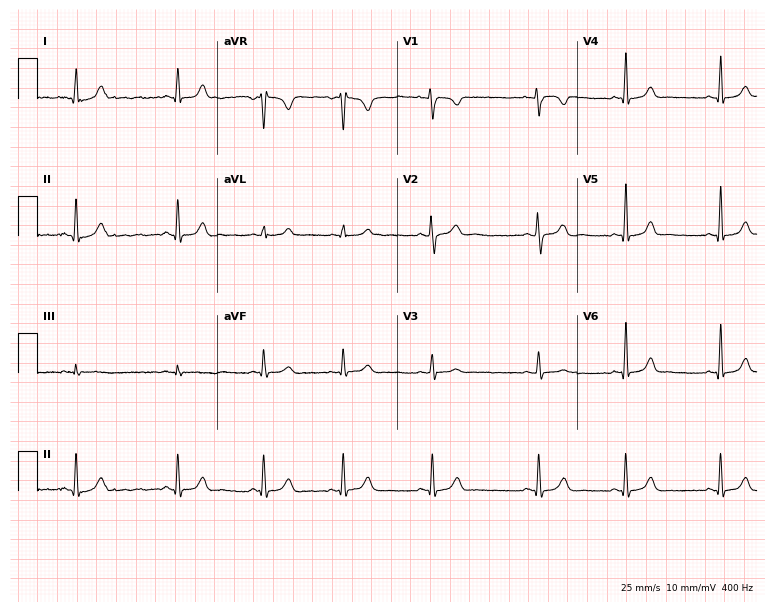
ECG (7.3-second recording at 400 Hz) — a 20-year-old female patient. Labelled as a normal ECG.